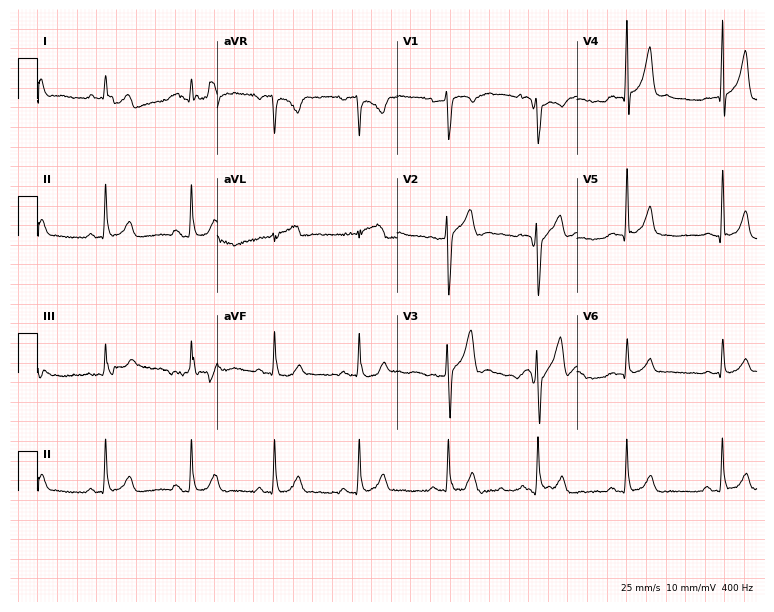
Resting 12-lead electrocardiogram (7.3-second recording at 400 Hz). Patient: a male, 33 years old. None of these six findings is recorded: first-degree AV block, right bundle branch block (RBBB), left bundle branch block (LBBB), sinus bradycardia, atrial fibrillation (AF), sinus tachycardia.